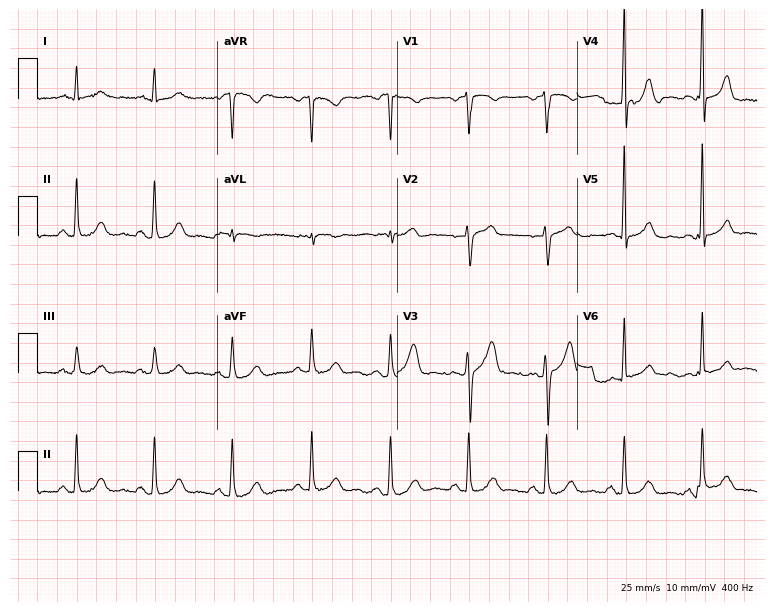
12-lead ECG from a 55-year-old male patient. Labelled as a normal ECG.